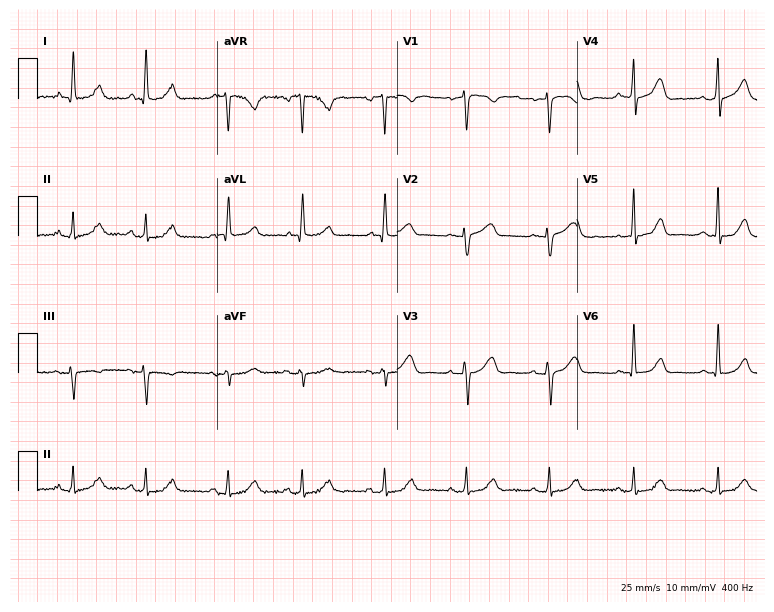
12-lead ECG from a female patient, 59 years old. Recorded interpretation: within normal limits.